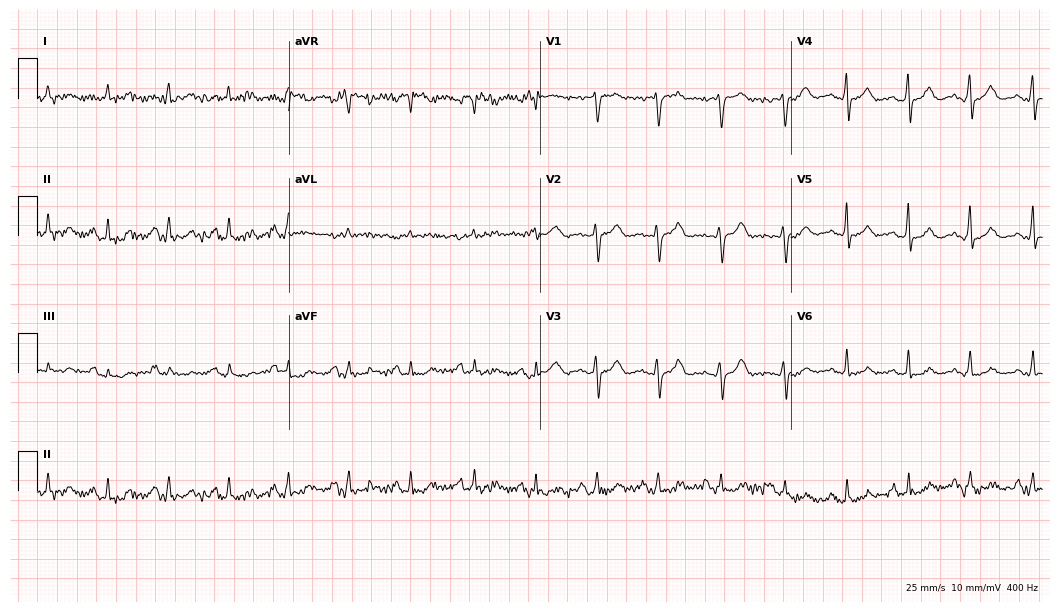
ECG (10.2-second recording at 400 Hz) — a female, 65 years old. Screened for six findings — first-degree AV block, right bundle branch block (RBBB), left bundle branch block (LBBB), sinus bradycardia, atrial fibrillation (AF), sinus tachycardia — none is recorded. Other findings, if any, are not listed.